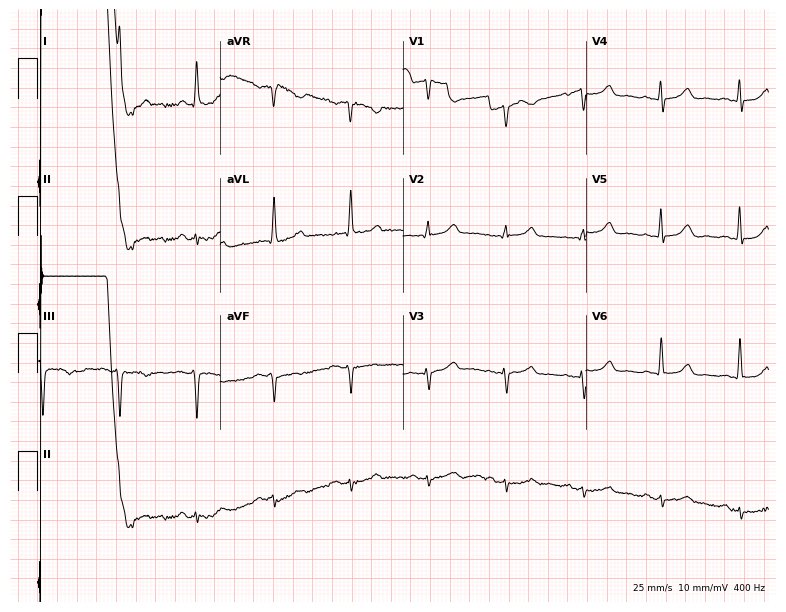
Resting 12-lead electrocardiogram (7.5-second recording at 400 Hz). Patient: an 81-year-old female. None of these six findings is recorded: first-degree AV block, right bundle branch block (RBBB), left bundle branch block (LBBB), sinus bradycardia, atrial fibrillation (AF), sinus tachycardia.